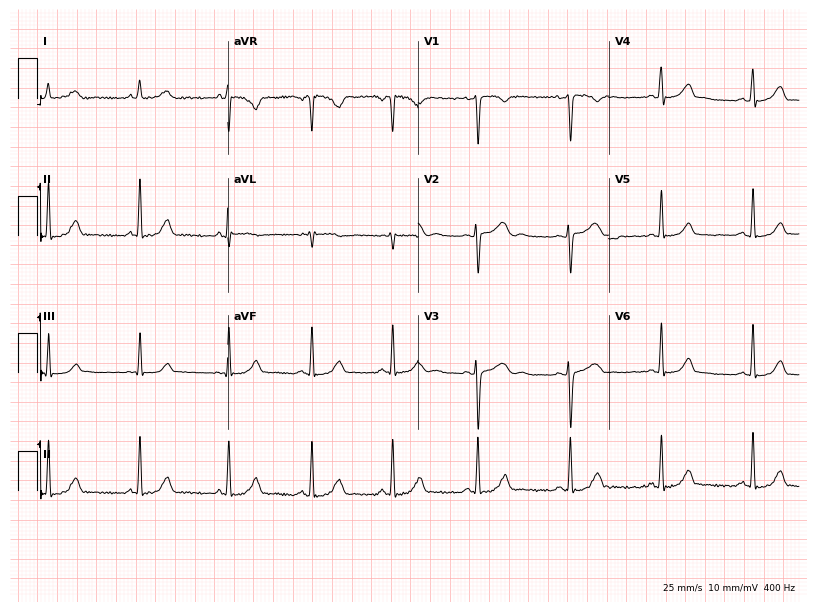
Standard 12-lead ECG recorded from a female patient, 32 years old (7.8-second recording at 400 Hz). None of these six findings is recorded: first-degree AV block, right bundle branch block, left bundle branch block, sinus bradycardia, atrial fibrillation, sinus tachycardia. Only these six findings were labelled.